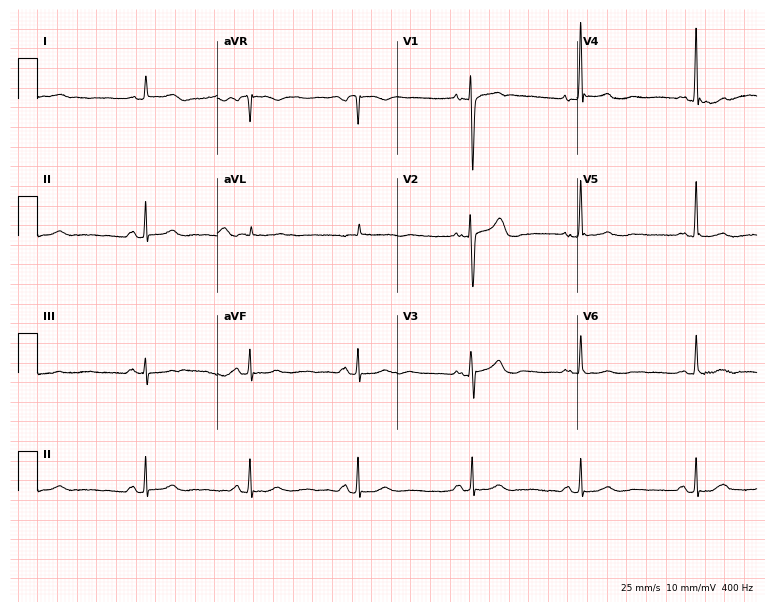
12-lead ECG from a woman, 82 years old. Screened for six findings — first-degree AV block, right bundle branch block (RBBB), left bundle branch block (LBBB), sinus bradycardia, atrial fibrillation (AF), sinus tachycardia — none is recorded.